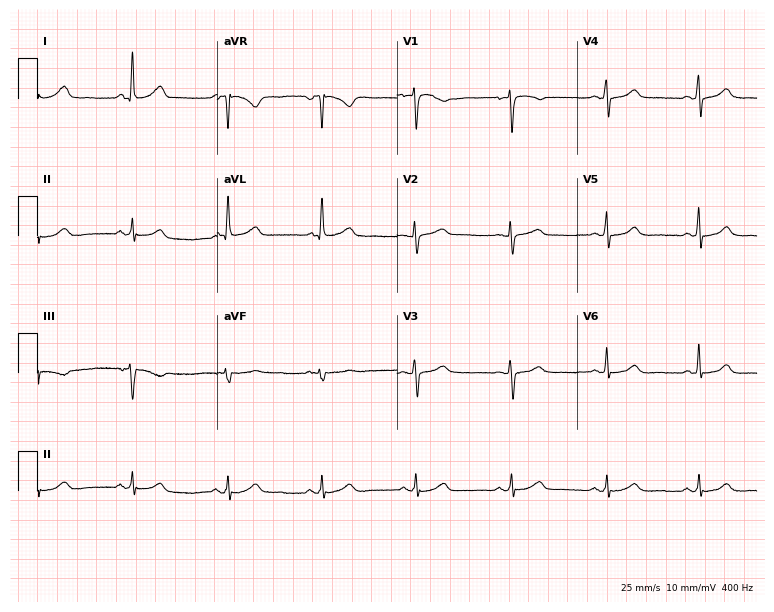
Resting 12-lead electrocardiogram (7.3-second recording at 400 Hz). Patient: a 53-year-old woman. Read as a normal ECG.